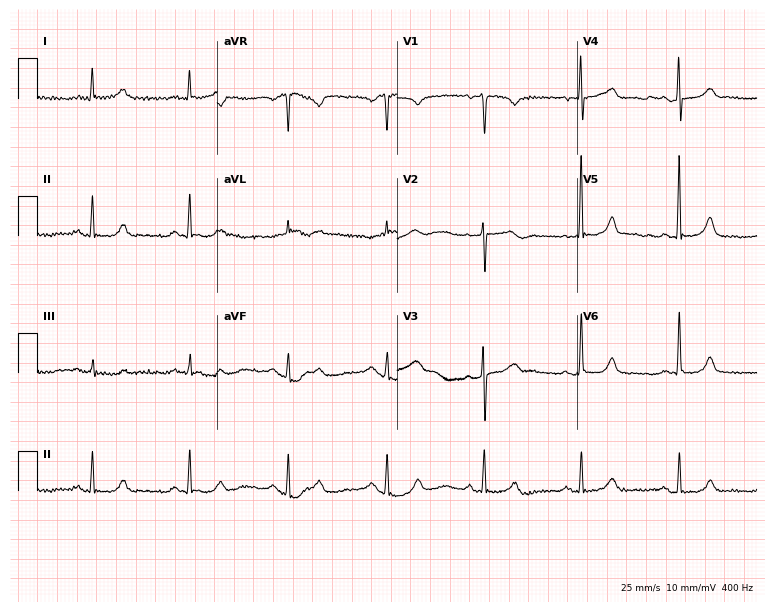
12-lead ECG from a 66-year-old man (7.3-second recording at 400 Hz). Recorded interpretation: within normal limits.